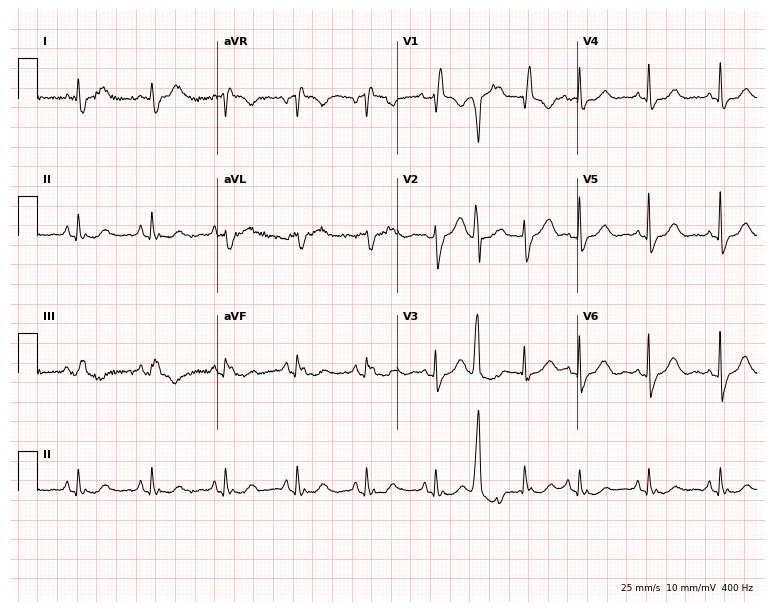
12-lead ECG from a female patient, 76 years old (7.3-second recording at 400 Hz). No first-degree AV block, right bundle branch block (RBBB), left bundle branch block (LBBB), sinus bradycardia, atrial fibrillation (AF) or sinus tachycardia recorded for this tracing.